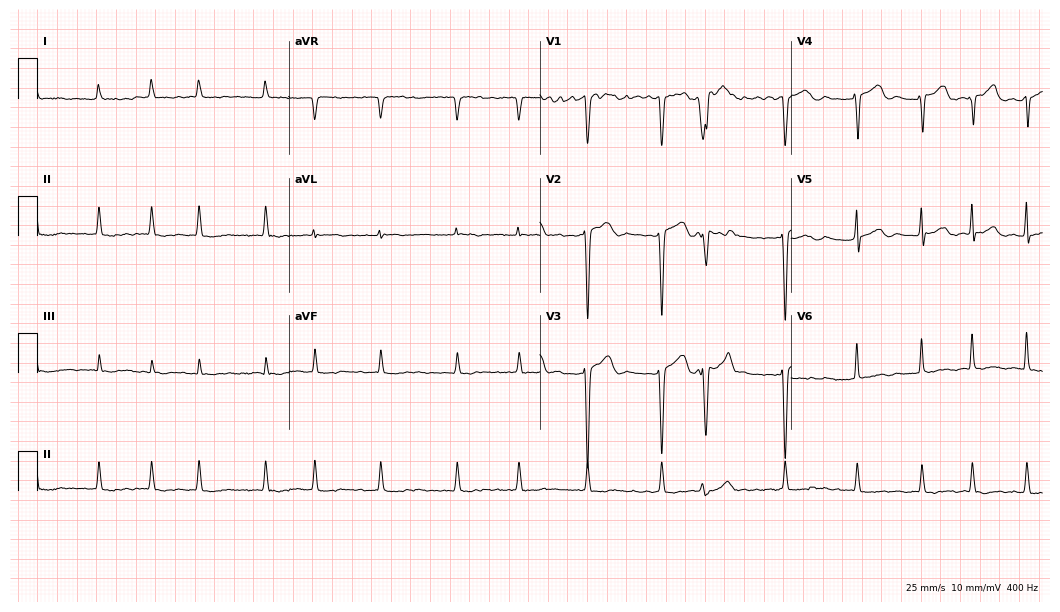
12-lead ECG (10.2-second recording at 400 Hz) from a male patient, 79 years old. Findings include atrial fibrillation.